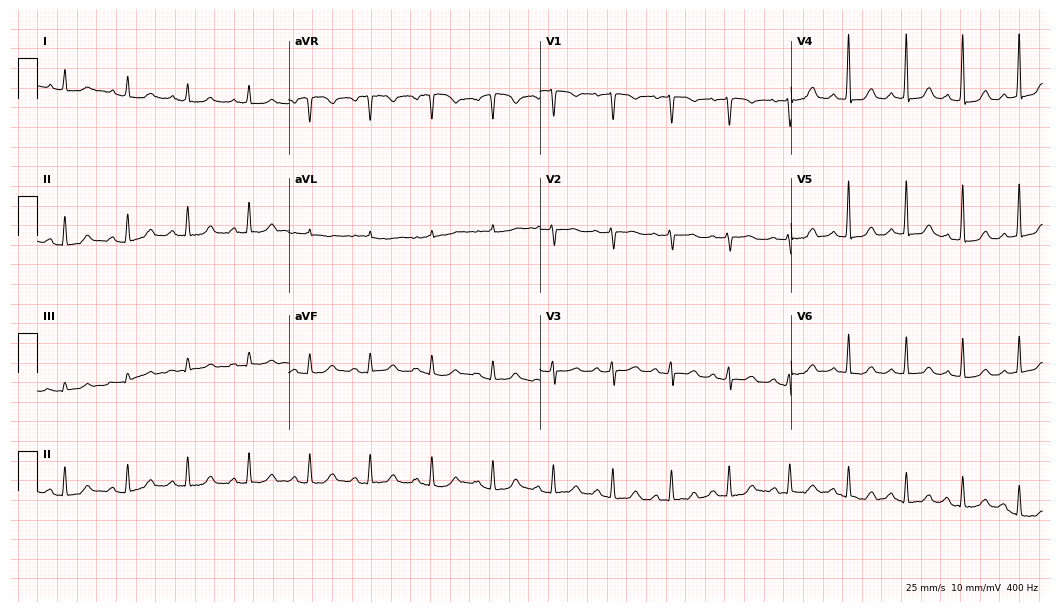
Resting 12-lead electrocardiogram (10.2-second recording at 400 Hz). Patient: a 75-year-old female. Read as a normal ECG.